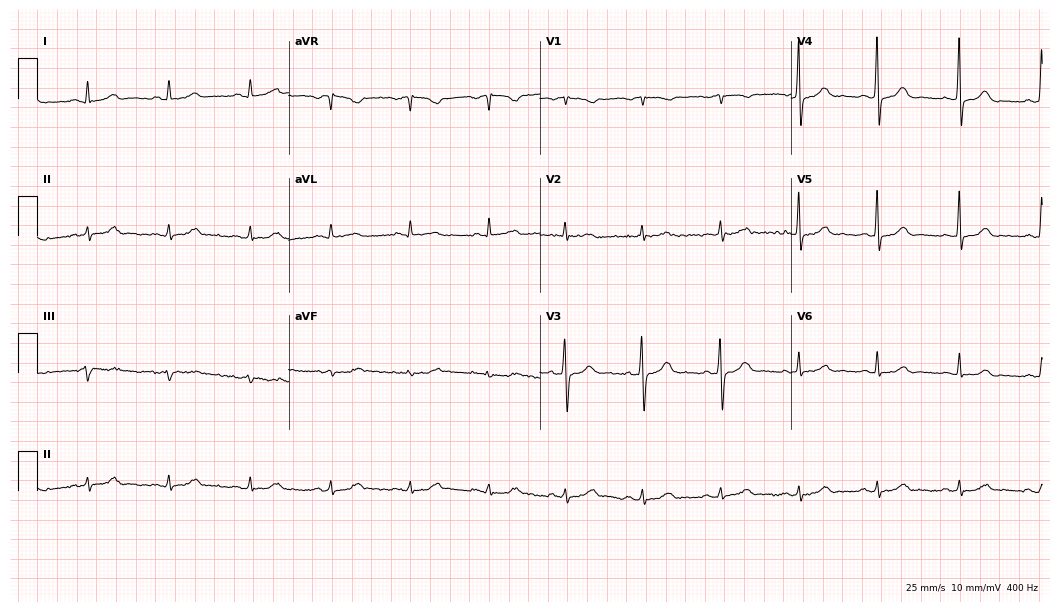
Resting 12-lead electrocardiogram (10.2-second recording at 400 Hz). Patient: a 64-year-old woman. Read as a normal ECG.